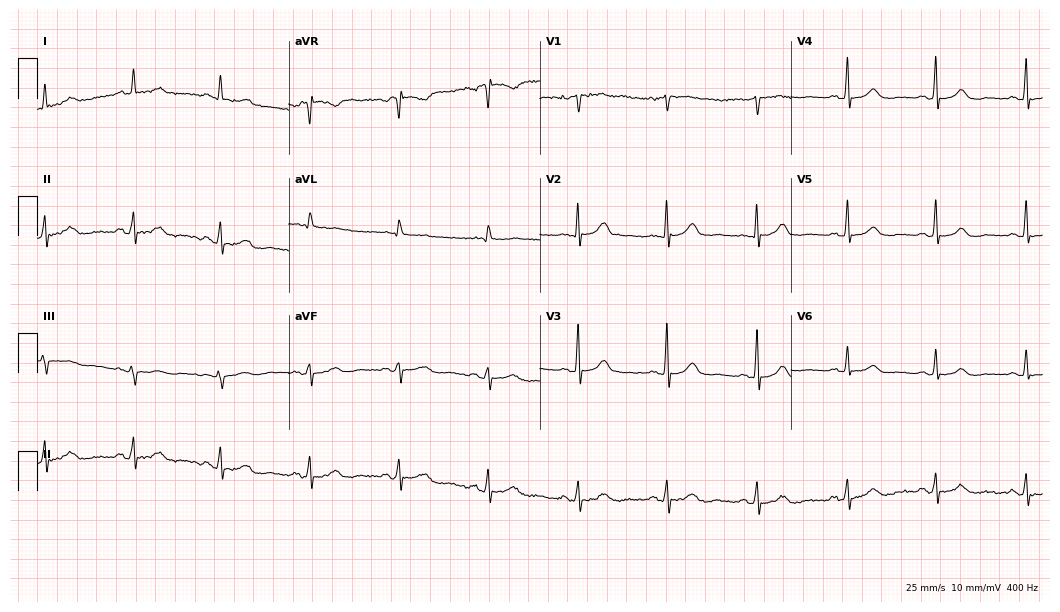
12-lead ECG from a female, 84 years old (10.2-second recording at 400 Hz). Recorded interpretation: within normal limits.